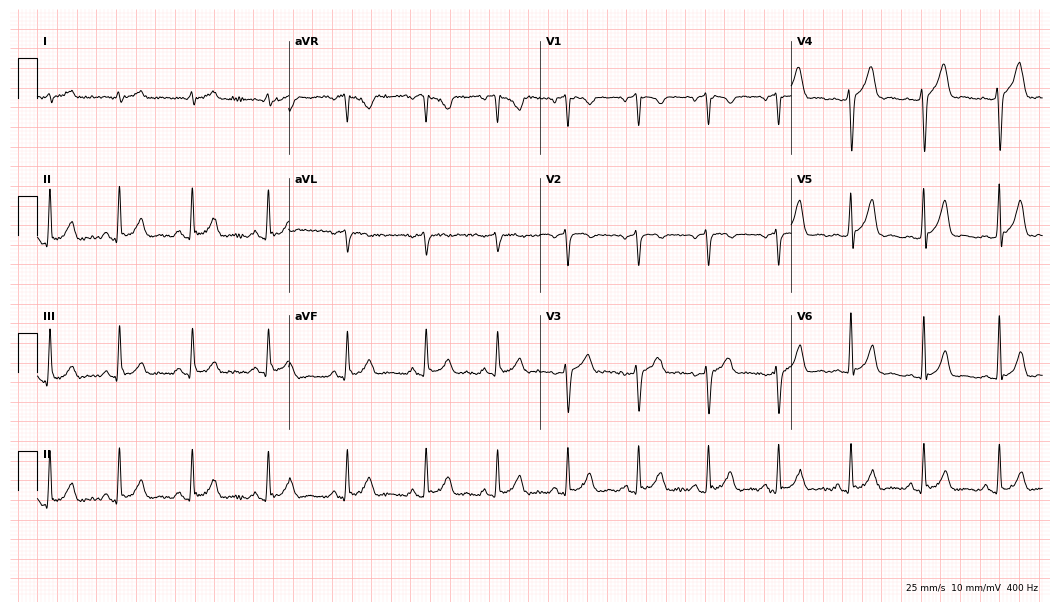
ECG (10.2-second recording at 400 Hz) — a 24-year-old male patient. Labelled as a normal ECG.